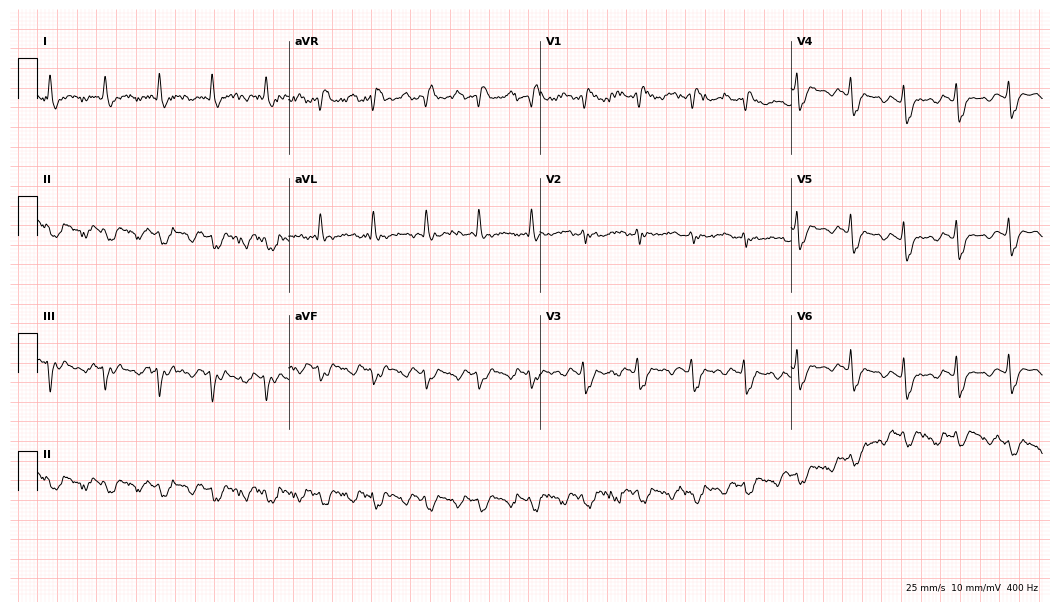
Electrocardiogram (10.2-second recording at 400 Hz), a male patient, 86 years old. Interpretation includes right bundle branch block (RBBB).